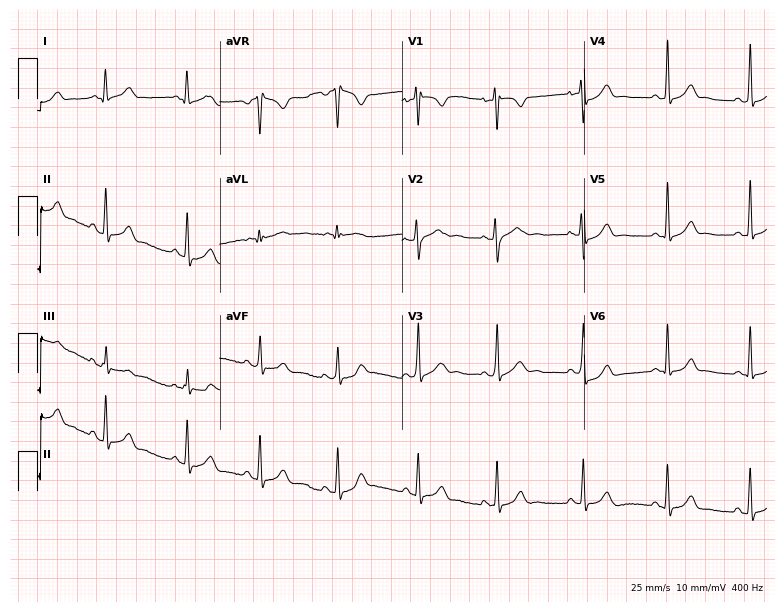
12-lead ECG from a 17-year-old female. Labelled as a normal ECG.